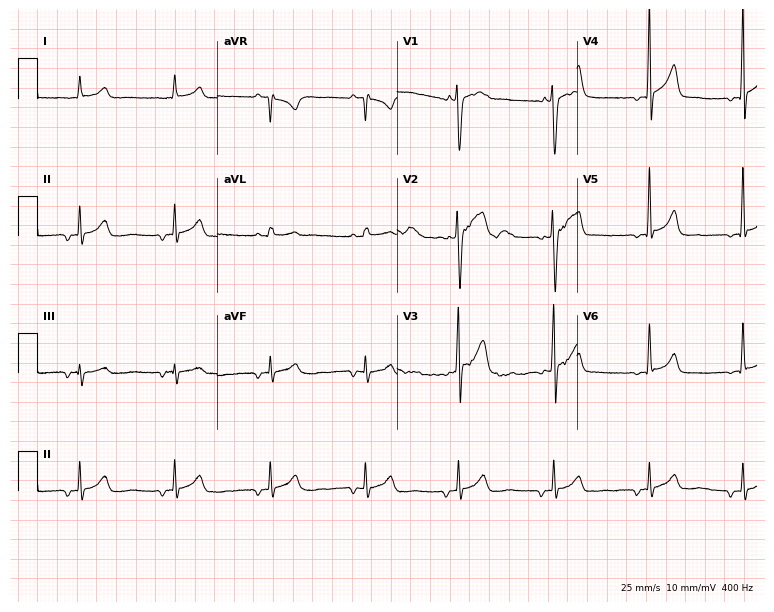
ECG — a man, 30 years old. Screened for six findings — first-degree AV block, right bundle branch block (RBBB), left bundle branch block (LBBB), sinus bradycardia, atrial fibrillation (AF), sinus tachycardia — none is recorded. Other findings, if any, are not listed.